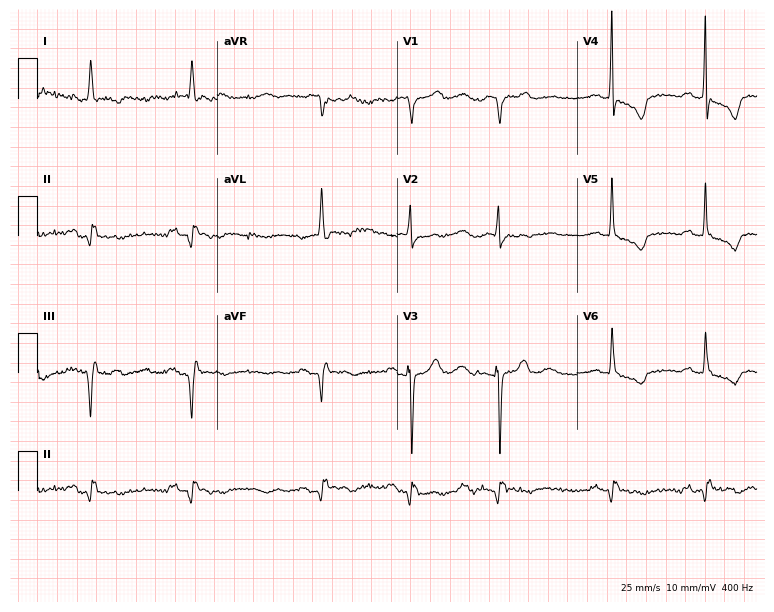
ECG (7.3-second recording at 400 Hz) — a female, 78 years old. Findings include first-degree AV block.